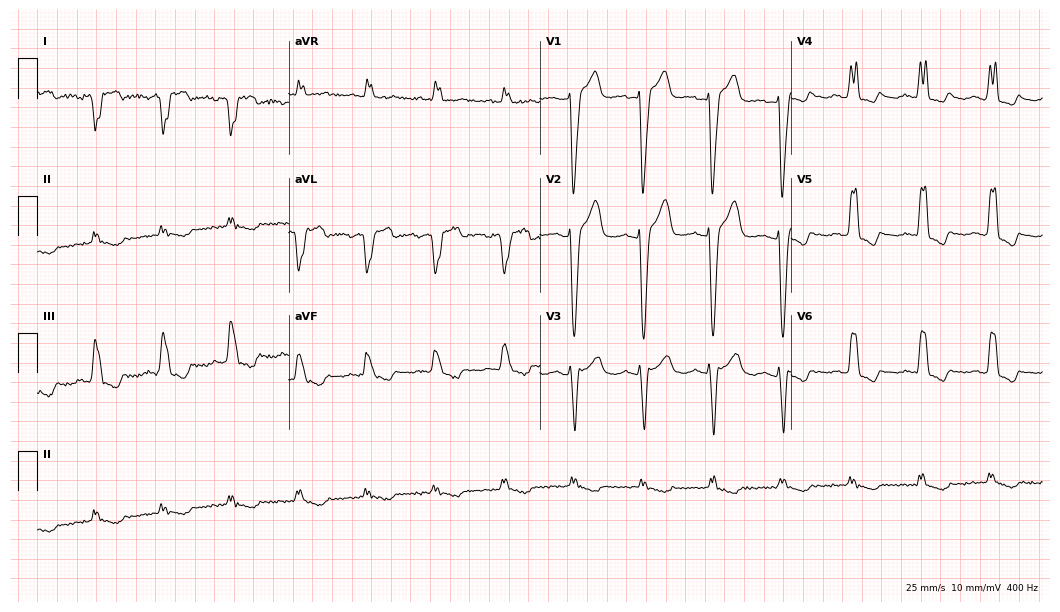
ECG — a 64-year-old woman. Screened for six findings — first-degree AV block, right bundle branch block, left bundle branch block, sinus bradycardia, atrial fibrillation, sinus tachycardia — none is recorded. Findings outside these six are not listed.